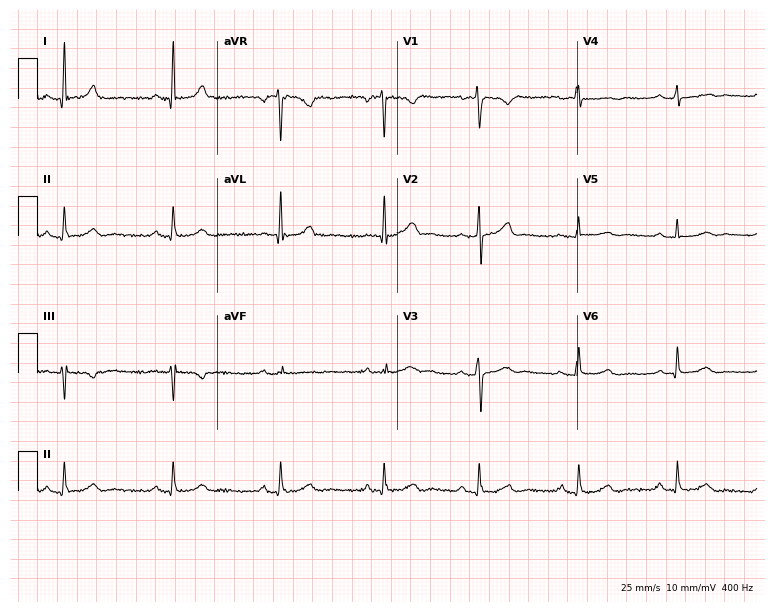
12-lead ECG from a woman, 37 years old (7.3-second recording at 400 Hz). No first-degree AV block, right bundle branch block, left bundle branch block, sinus bradycardia, atrial fibrillation or sinus tachycardia recorded for this tracing. Findings outside these six are not listed.